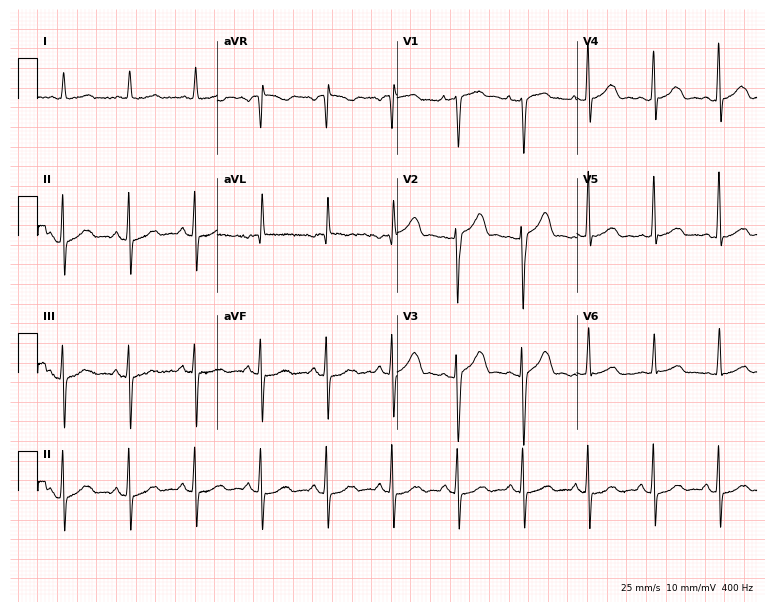
12-lead ECG (7.3-second recording at 400 Hz) from a female patient, 85 years old. Screened for six findings — first-degree AV block, right bundle branch block, left bundle branch block, sinus bradycardia, atrial fibrillation, sinus tachycardia — none is recorded. Findings outside these six are not listed.